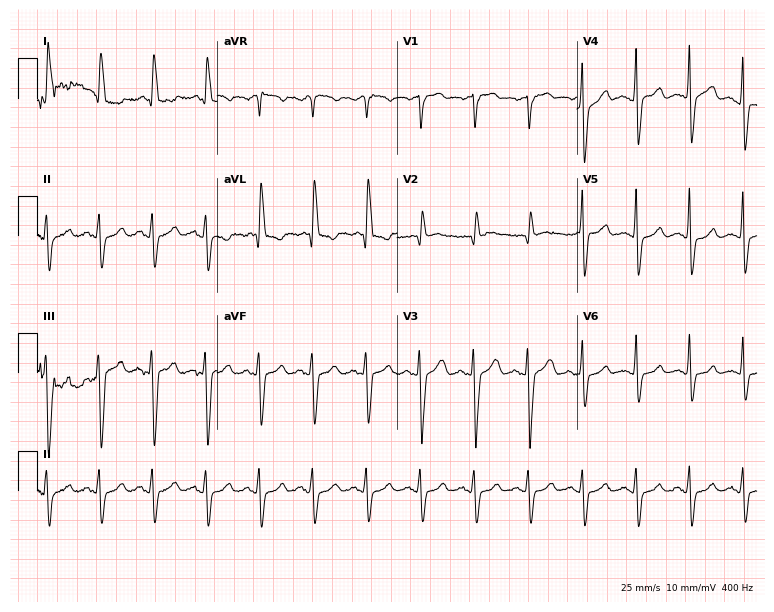
Standard 12-lead ECG recorded from a female, 72 years old (7.3-second recording at 400 Hz). The tracing shows sinus tachycardia (a sinus rate of 100 beats per minute or more).